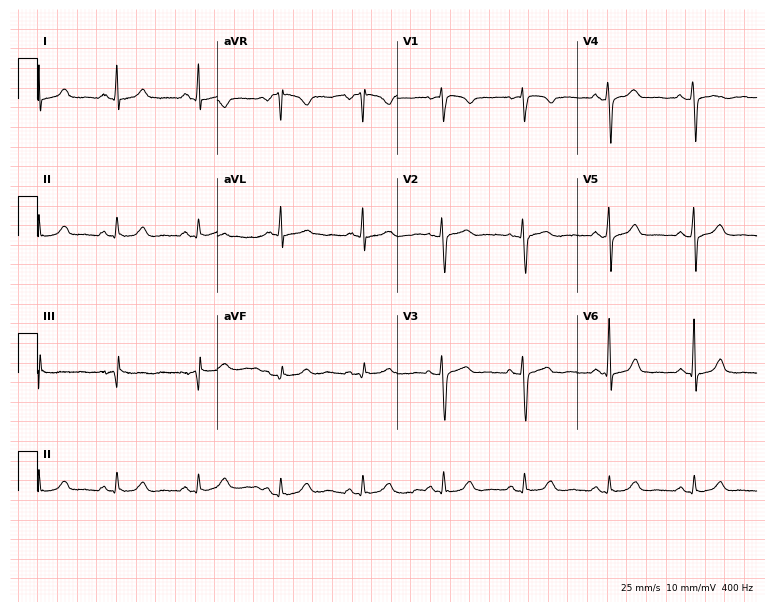
12-lead ECG (7.3-second recording at 400 Hz) from a female patient, 56 years old. Labelled as a normal ECG.